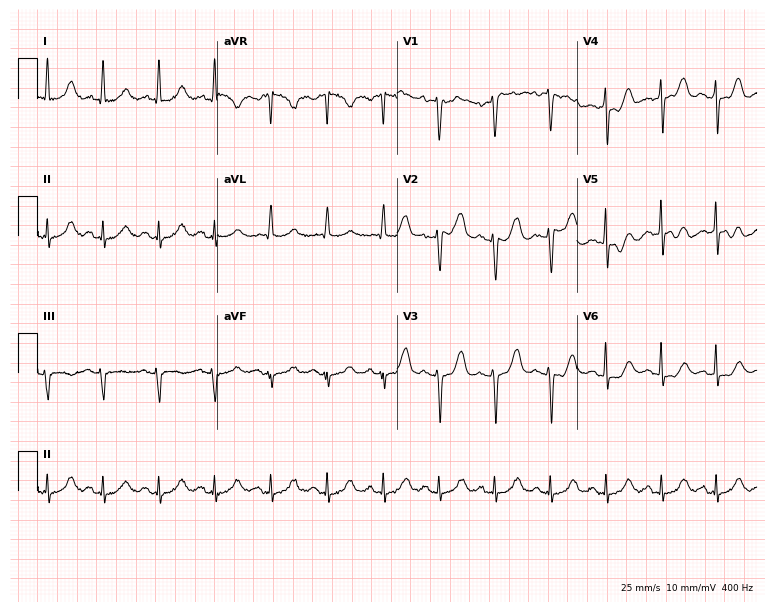
Standard 12-lead ECG recorded from a 60-year-old woman (7.3-second recording at 400 Hz). The tracing shows sinus tachycardia (a sinus rate of 100 beats per minute or more).